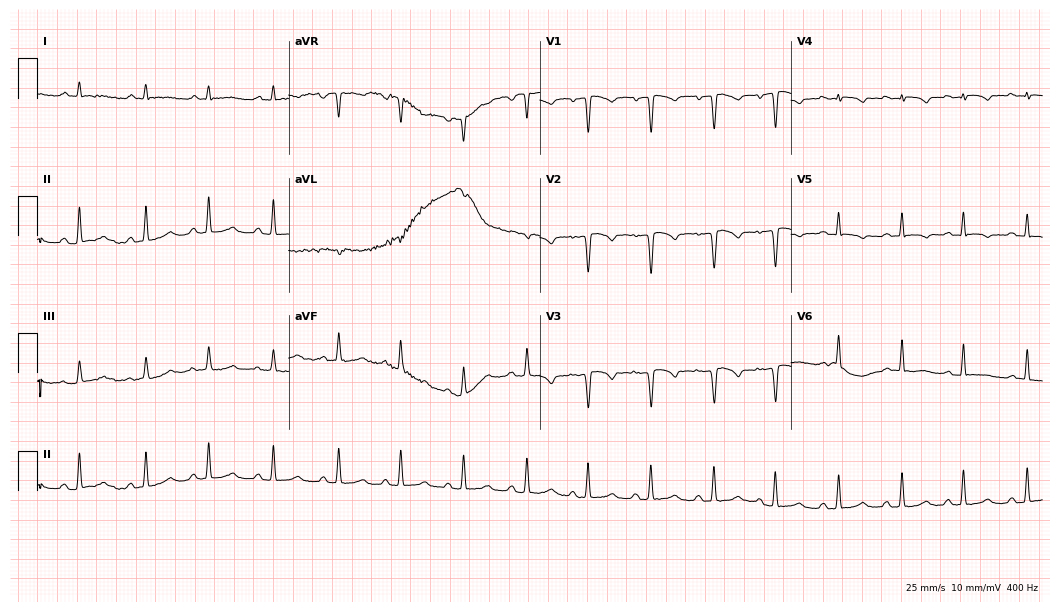
Electrocardiogram (10.2-second recording at 400 Hz), a female, 28 years old. Of the six screened findings (first-degree AV block, right bundle branch block (RBBB), left bundle branch block (LBBB), sinus bradycardia, atrial fibrillation (AF), sinus tachycardia), none is recorded. Other findings, if any, are not listed.